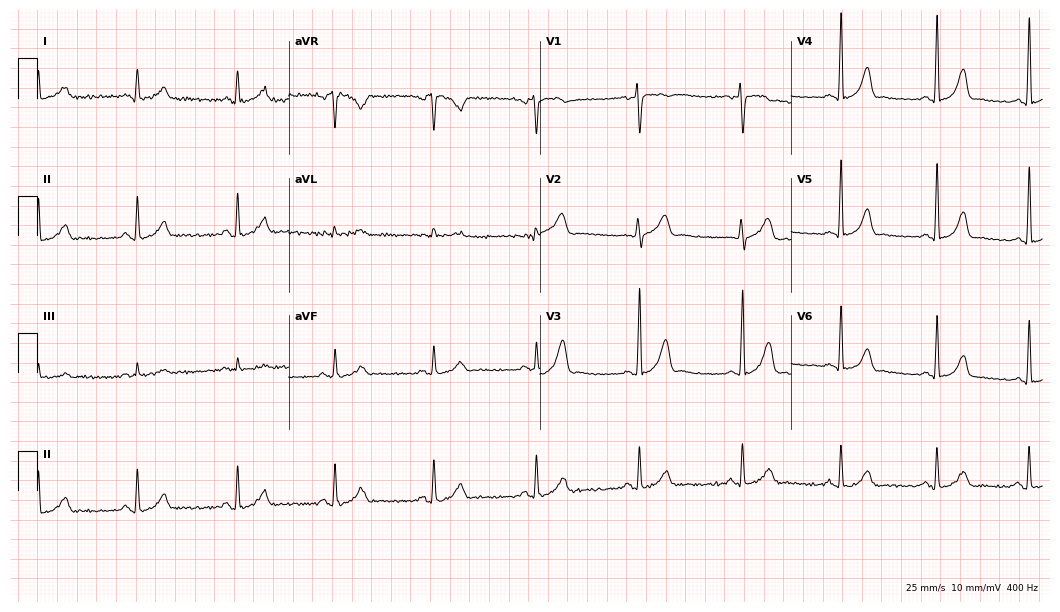
Standard 12-lead ECG recorded from a woman, 29 years old. Read as a normal ECG.